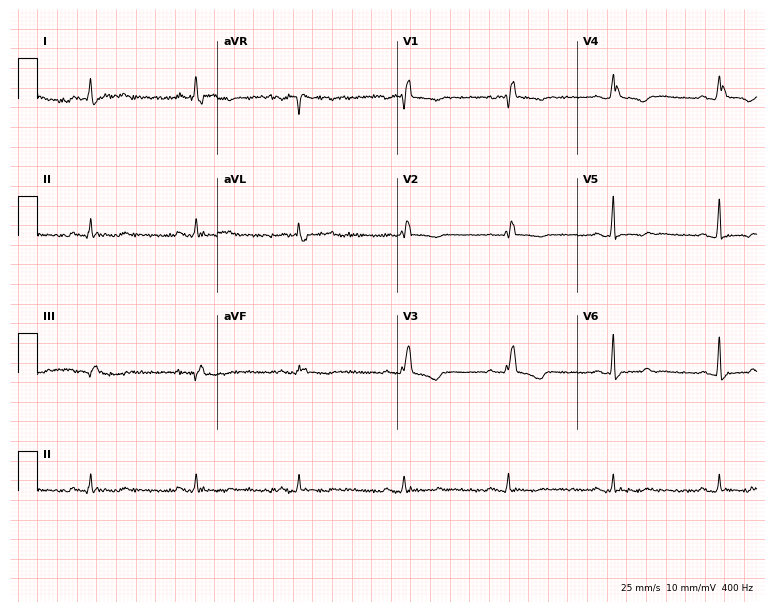
Electrocardiogram, a 60-year-old female patient. Interpretation includes right bundle branch block.